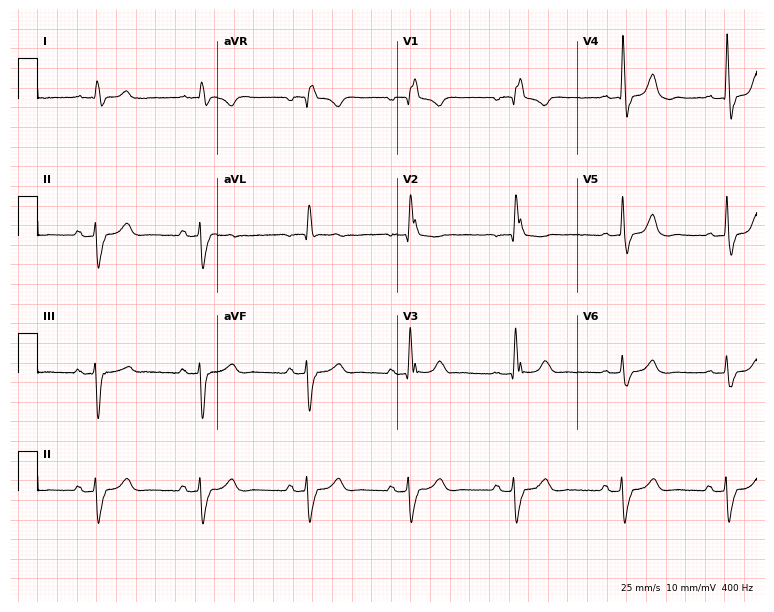
Resting 12-lead electrocardiogram (7.3-second recording at 400 Hz). Patient: an 80-year-old male. The tracing shows right bundle branch block (RBBB).